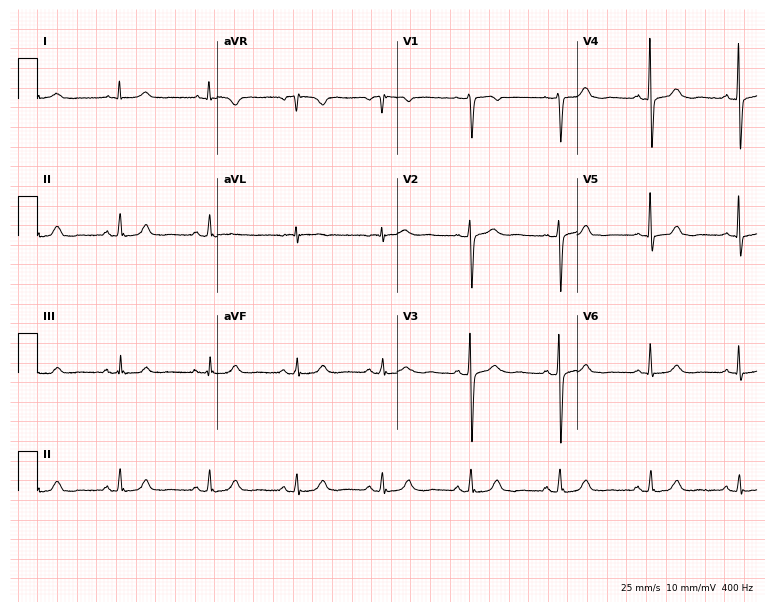
12-lead ECG from a woman, 77 years old (7.3-second recording at 400 Hz). No first-degree AV block, right bundle branch block (RBBB), left bundle branch block (LBBB), sinus bradycardia, atrial fibrillation (AF) or sinus tachycardia recorded for this tracing. Findings outside these six are not listed.